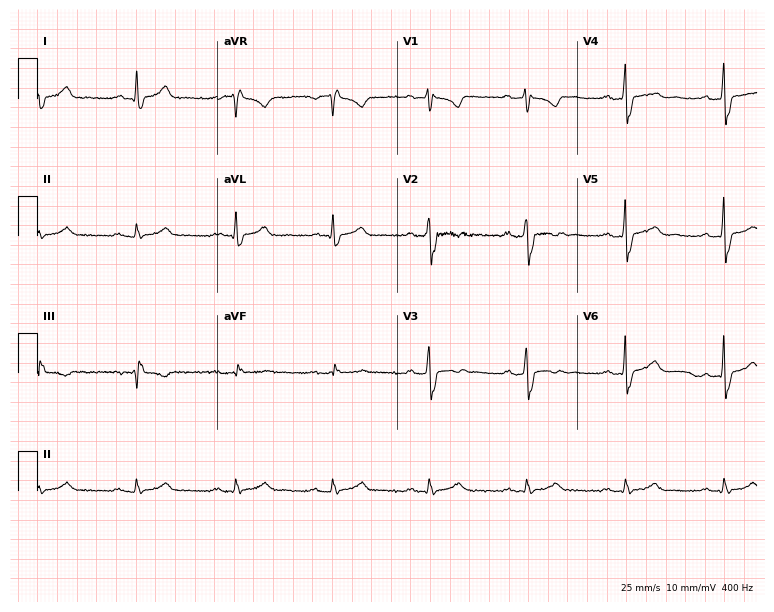
12-lead ECG from a 55-year-old male patient (7.3-second recording at 400 Hz). No first-degree AV block, right bundle branch block, left bundle branch block, sinus bradycardia, atrial fibrillation or sinus tachycardia recorded for this tracing.